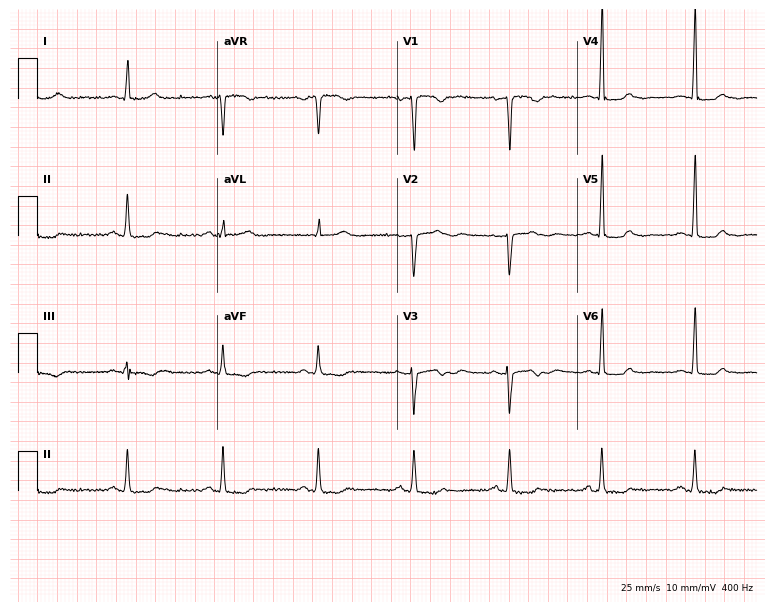
Resting 12-lead electrocardiogram. Patient: a woman, 45 years old. None of these six findings is recorded: first-degree AV block, right bundle branch block, left bundle branch block, sinus bradycardia, atrial fibrillation, sinus tachycardia. Other findings, if any, are not listed.